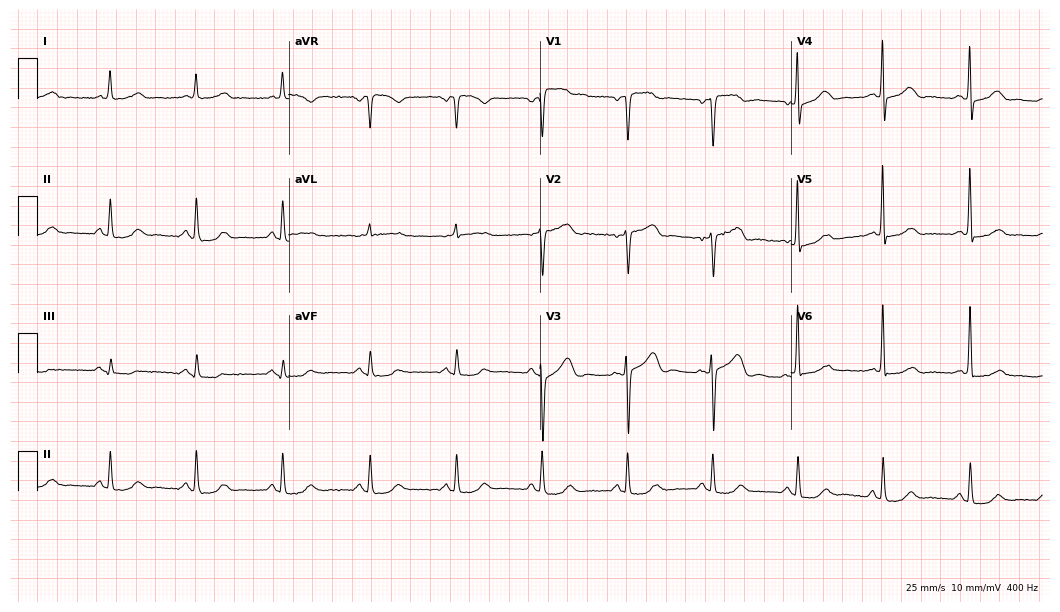
12-lead ECG from a female patient, 76 years old. Screened for six findings — first-degree AV block, right bundle branch block (RBBB), left bundle branch block (LBBB), sinus bradycardia, atrial fibrillation (AF), sinus tachycardia — none is recorded. Only these six findings were labelled.